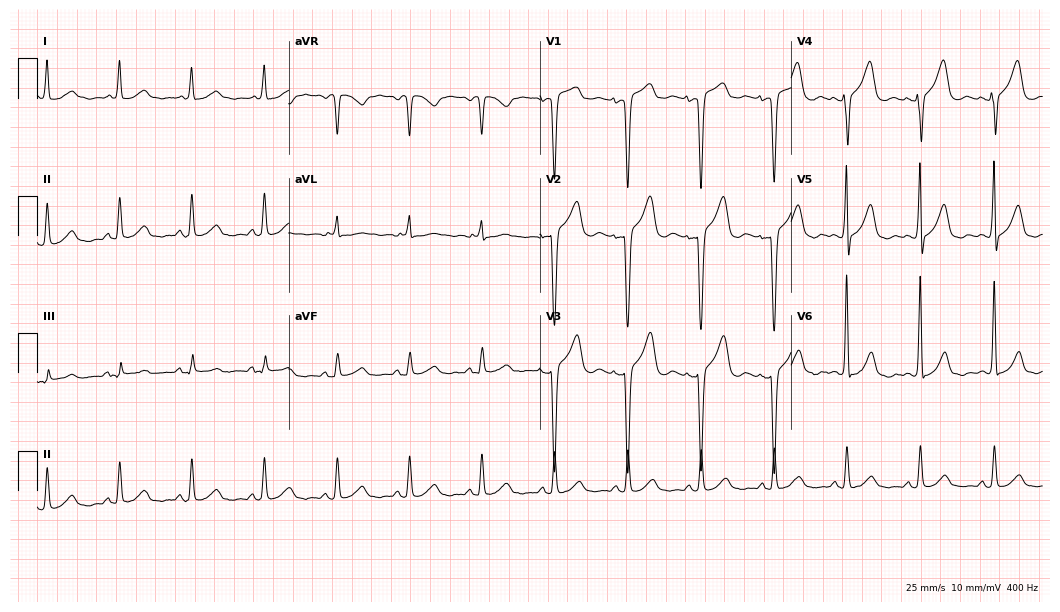
ECG (10.2-second recording at 400 Hz) — a 63-year-old male patient. Screened for six findings — first-degree AV block, right bundle branch block, left bundle branch block, sinus bradycardia, atrial fibrillation, sinus tachycardia — none is recorded. Other findings, if any, are not listed.